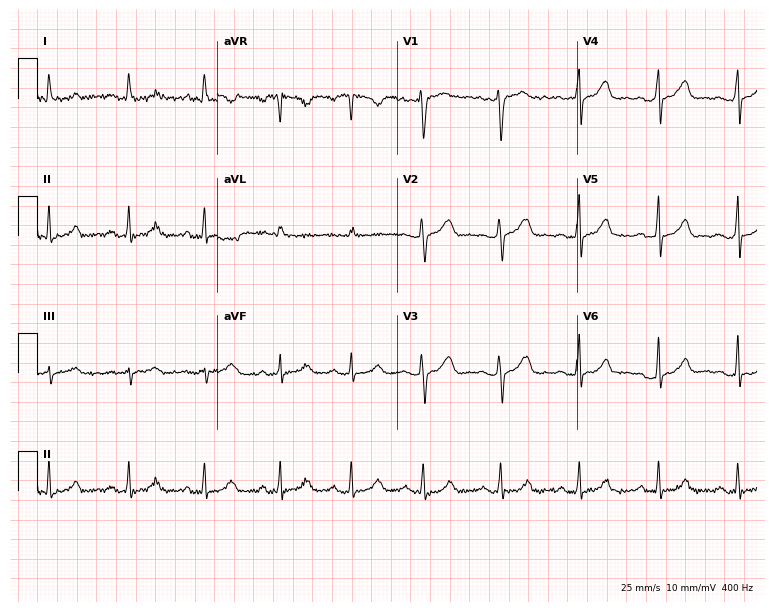
12-lead ECG from a female patient, 44 years old (7.3-second recording at 400 Hz). Recorded interpretation: within normal limits.